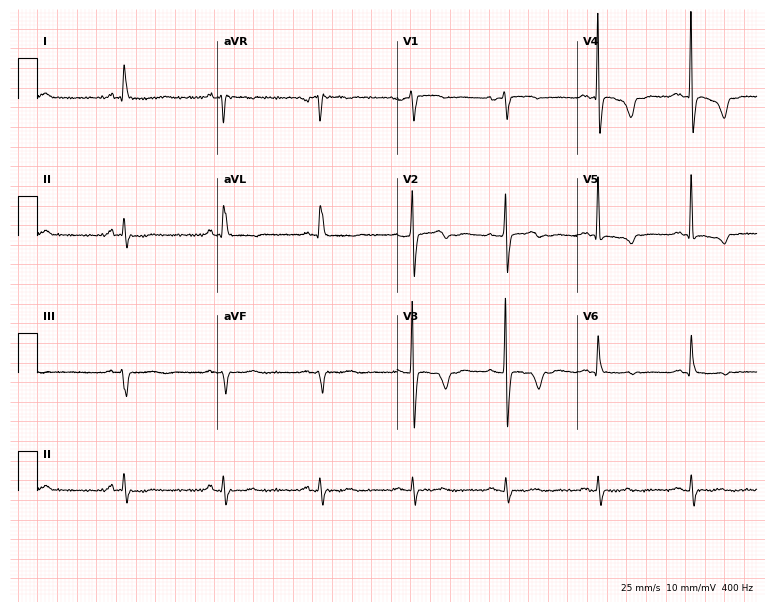
Resting 12-lead electrocardiogram (7.3-second recording at 400 Hz). Patient: a woman, 65 years old. None of these six findings is recorded: first-degree AV block, right bundle branch block (RBBB), left bundle branch block (LBBB), sinus bradycardia, atrial fibrillation (AF), sinus tachycardia. Only these six findings were labelled.